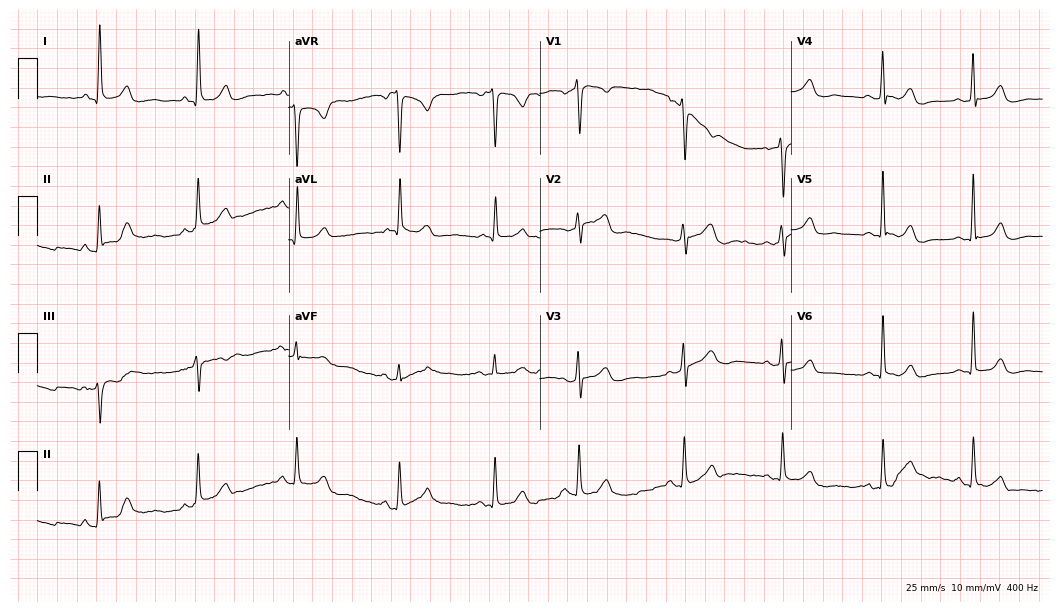
Resting 12-lead electrocardiogram (10.2-second recording at 400 Hz). Patient: an 80-year-old woman. None of these six findings is recorded: first-degree AV block, right bundle branch block, left bundle branch block, sinus bradycardia, atrial fibrillation, sinus tachycardia. Other findings, if any, are not listed.